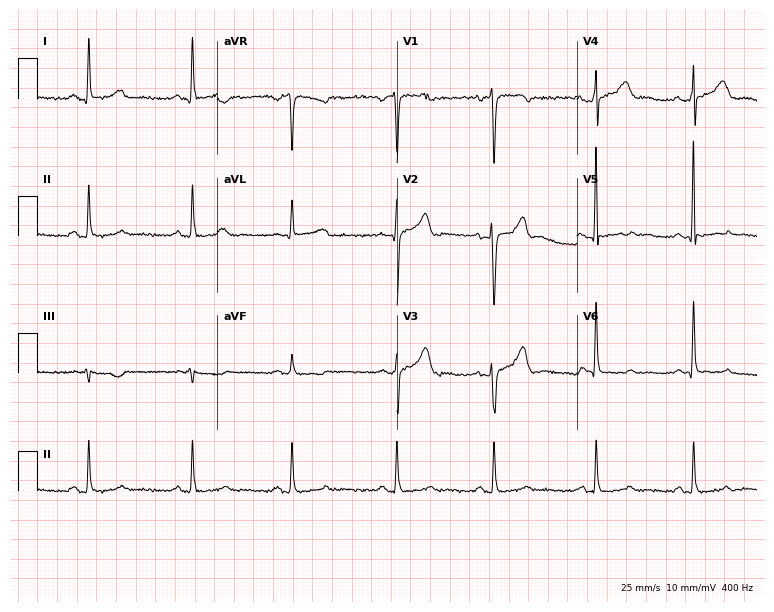
12-lead ECG (7.3-second recording at 400 Hz) from a 39-year-old female patient. Screened for six findings — first-degree AV block, right bundle branch block (RBBB), left bundle branch block (LBBB), sinus bradycardia, atrial fibrillation (AF), sinus tachycardia — none is recorded.